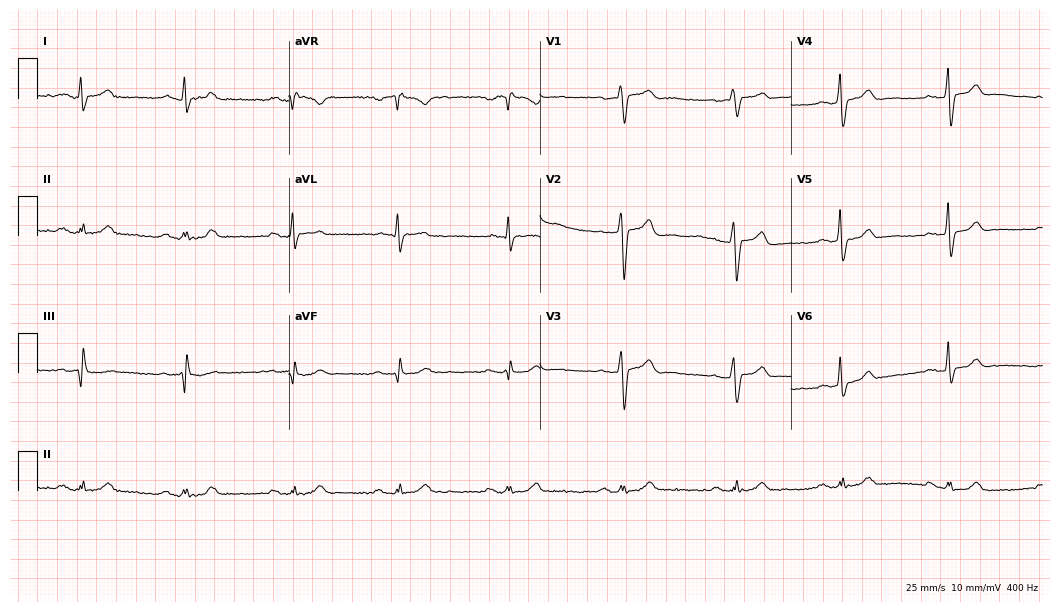
Resting 12-lead electrocardiogram (10.2-second recording at 400 Hz). Patient: a 57-year-old male. None of these six findings is recorded: first-degree AV block, right bundle branch block, left bundle branch block, sinus bradycardia, atrial fibrillation, sinus tachycardia. Findings outside these six are not listed.